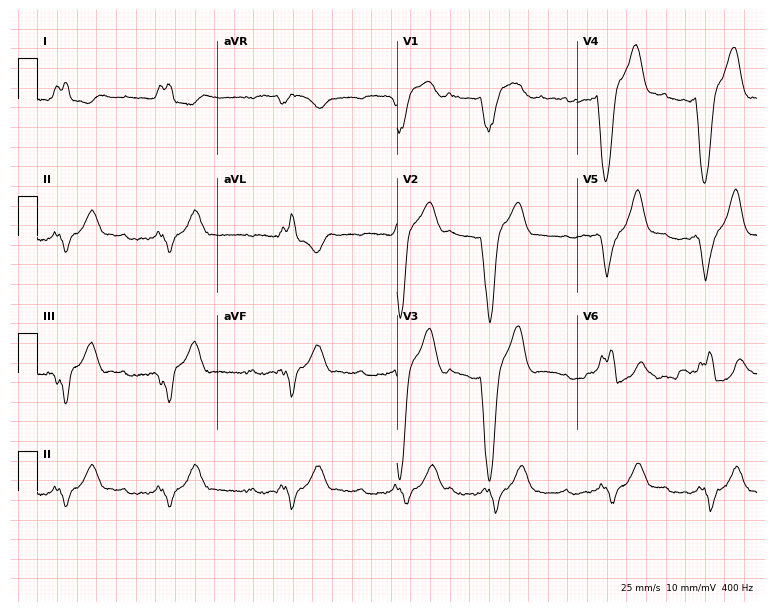
Resting 12-lead electrocardiogram. Patient: a female, 77 years old. None of these six findings is recorded: first-degree AV block, right bundle branch block, left bundle branch block, sinus bradycardia, atrial fibrillation, sinus tachycardia. Findings outside these six are not listed.